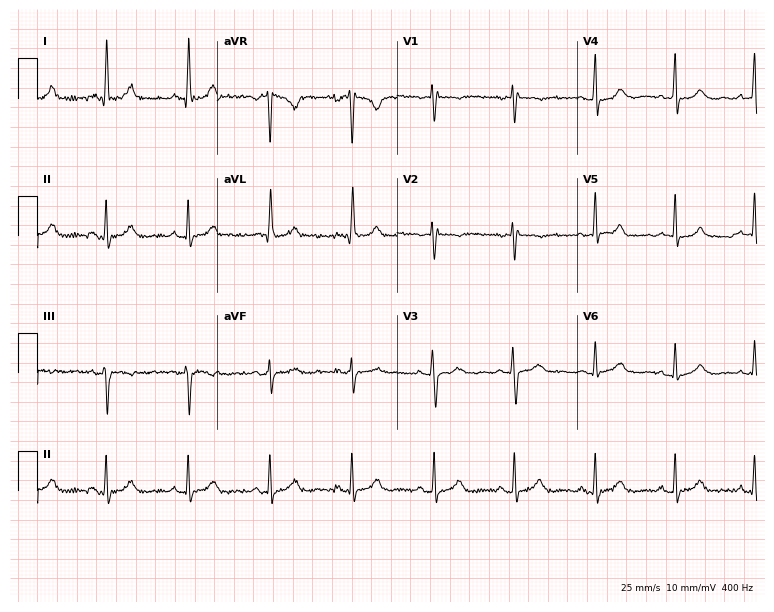
Electrocardiogram, a 51-year-old woman. Of the six screened findings (first-degree AV block, right bundle branch block (RBBB), left bundle branch block (LBBB), sinus bradycardia, atrial fibrillation (AF), sinus tachycardia), none is recorded. Findings outside these six are not listed.